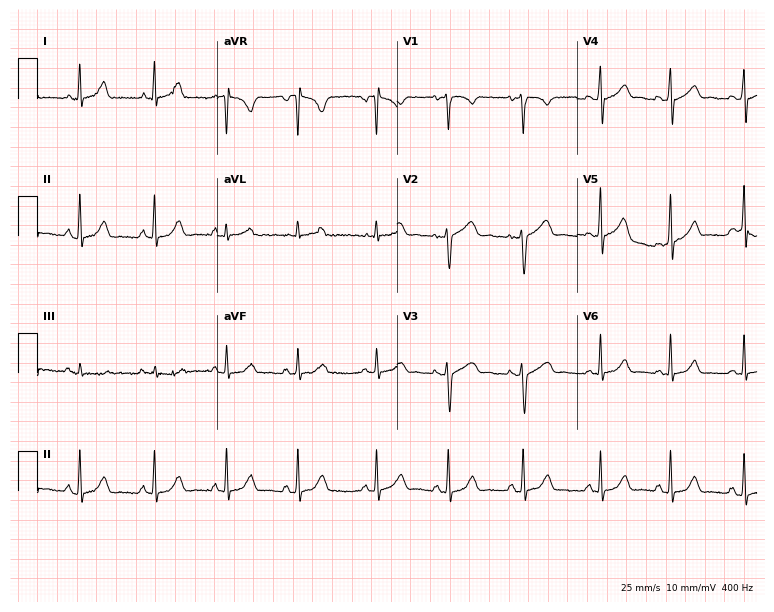
Resting 12-lead electrocardiogram. Patient: a 29-year-old woman. None of these six findings is recorded: first-degree AV block, right bundle branch block, left bundle branch block, sinus bradycardia, atrial fibrillation, sinus tachycardia.